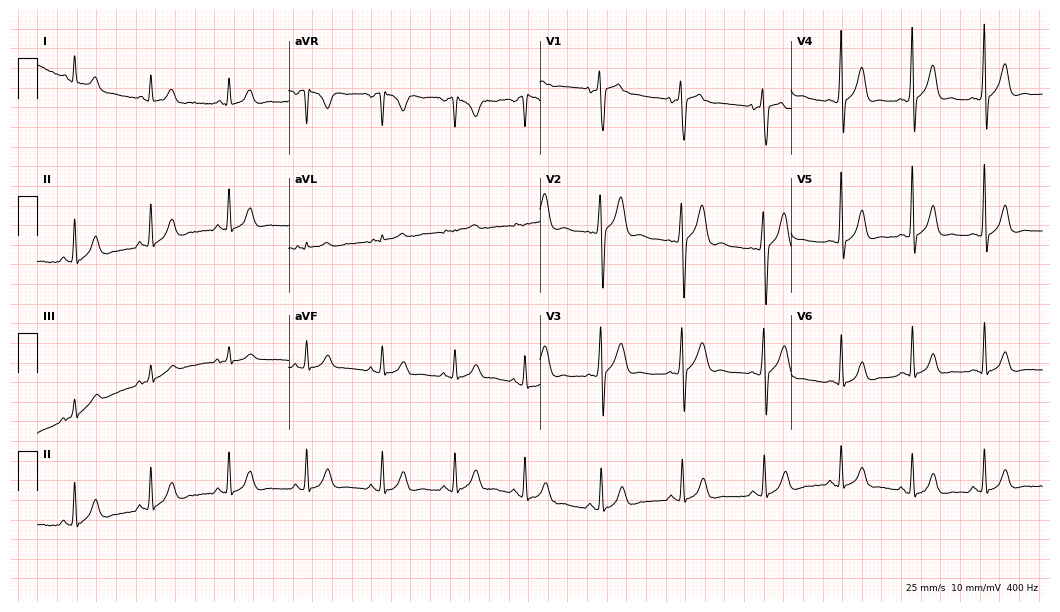
ECG — a 17-year-old male. Labelled as a normal ECG.